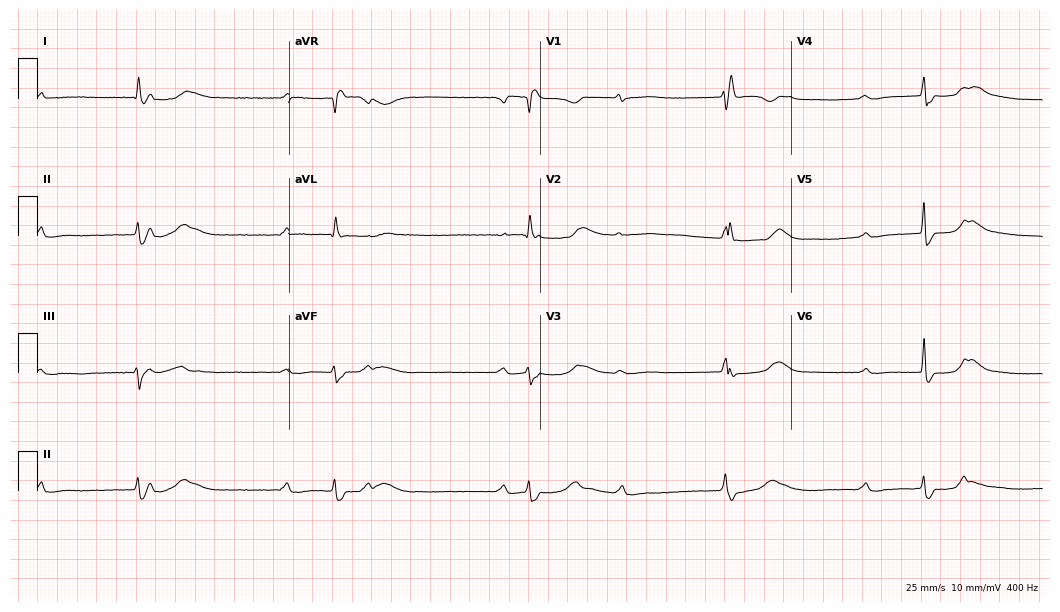
12-lead ECG from a 68-year-old woman (10.2-second recording at 400 Hz). Shows first-degree AV block.